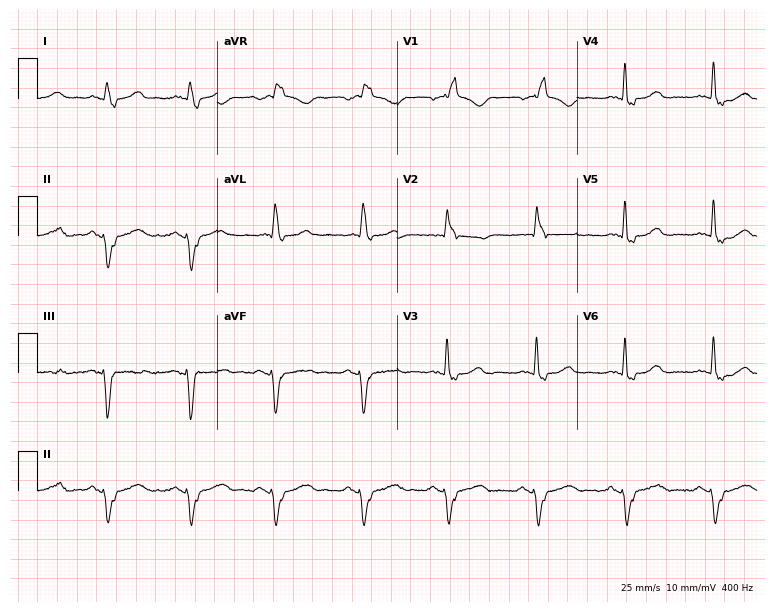
12-lead ECG from a man, 79 years old. Shows right bundle branch block (RBBB).